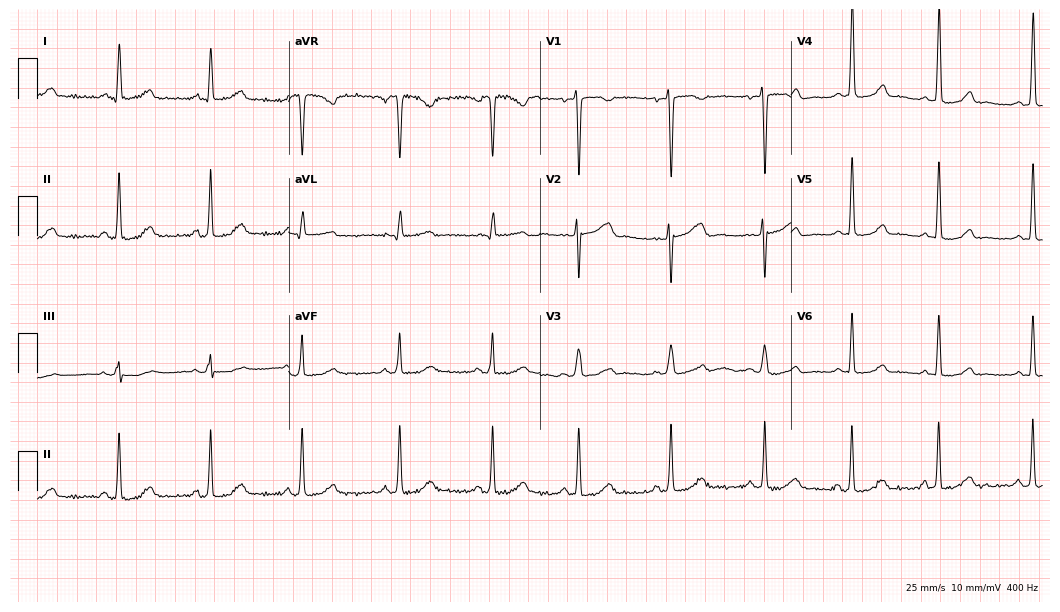
12-lead ECG (10.2-second recording at 400 Hz) from a woman, 34 years old. Labelled as a normal ECG.